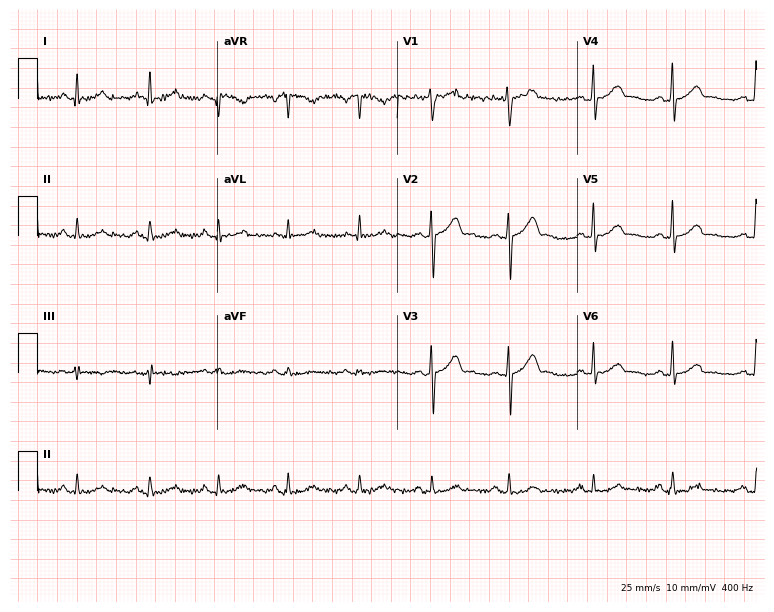
Resting 12-lead electrocardiogram (7.3-second recording at 400 Hz). Patient: a male, 43 years old. Read as a normal ECG.